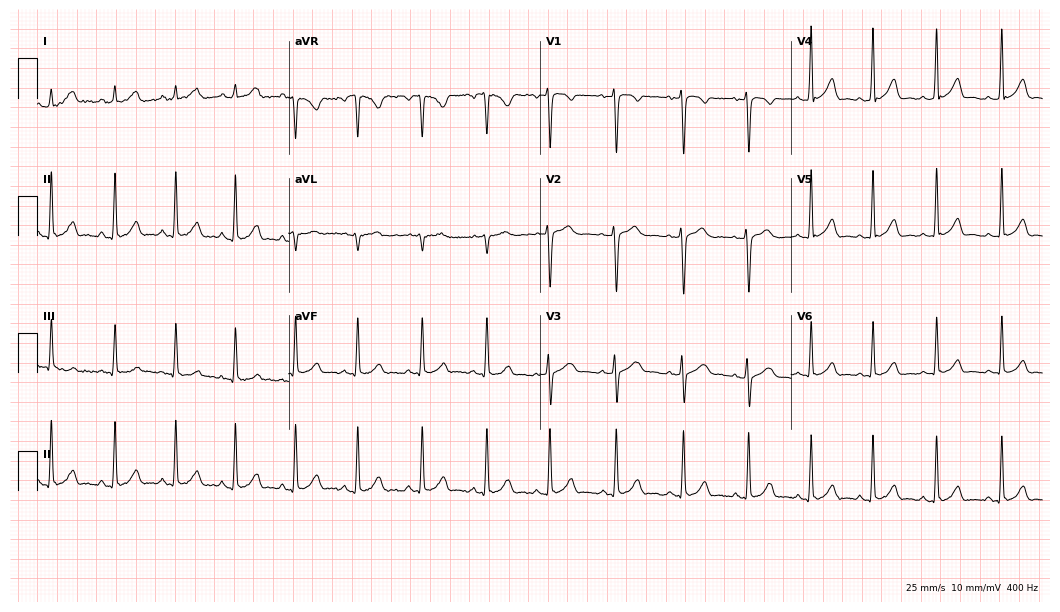
12-lead ECG (10.2-second recording at 400 Hz) from a woman, 21 years old. Labelled as a normal ECG.